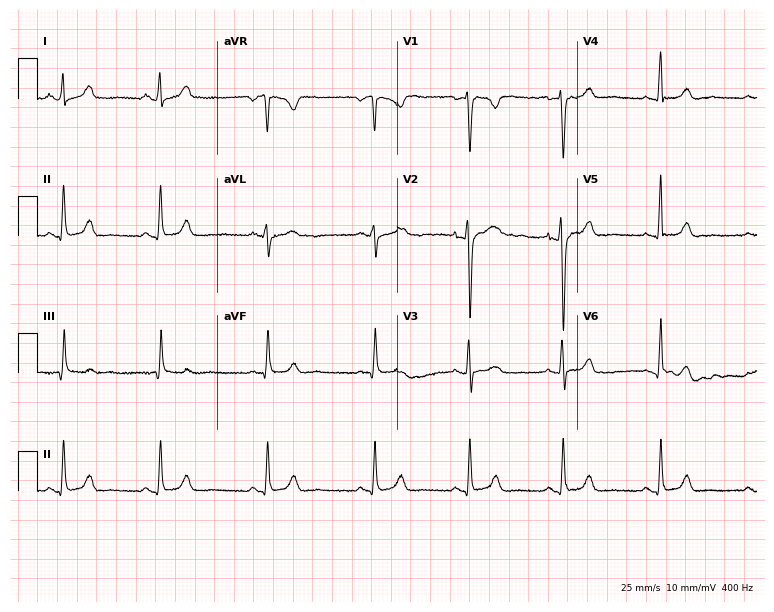
Electrocardiogram (7.3-second recording at 400 Hz), a female, 31 years old. Of the six screened findings (first-degree AV block, right bundle branch block (RBBB), left bundle branch block (LBBB), sinus bradycardia, atrial fibrillation (AF), sinus tachycardia), none is recorded.